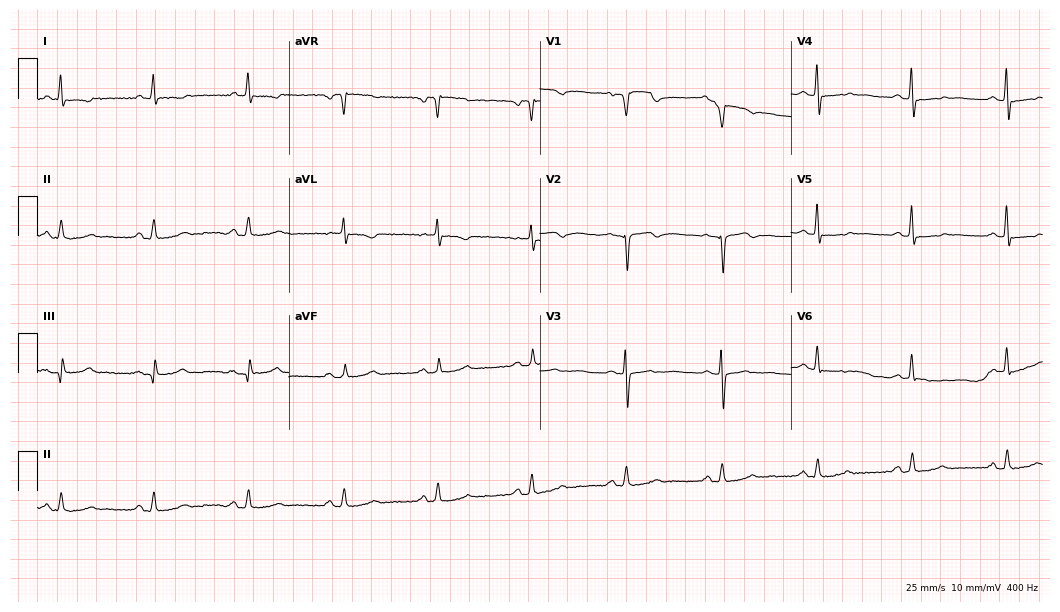
Standard 12-lead ECG recorded from a female, 68 years old. None of these six findings is recorded: first-degree AV block, right bundle branch block, left bundle branch block, sinus bradycardia, atrial fibrillation, sinus tachycardia. Other findings, if any, are not listed.